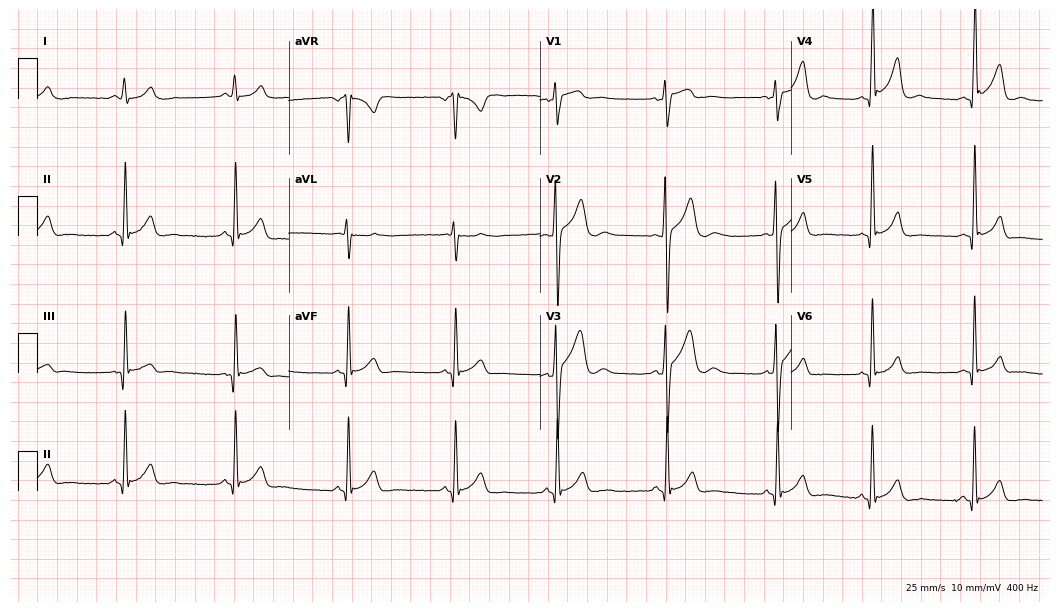
12-lead ECG from a male patient, 18 years old. No first-degree AV block, right bundle branch block, left bundle branch block, sinus bradycardia, atrial fibrillation or sinus tachycardia recorded for this tracing.